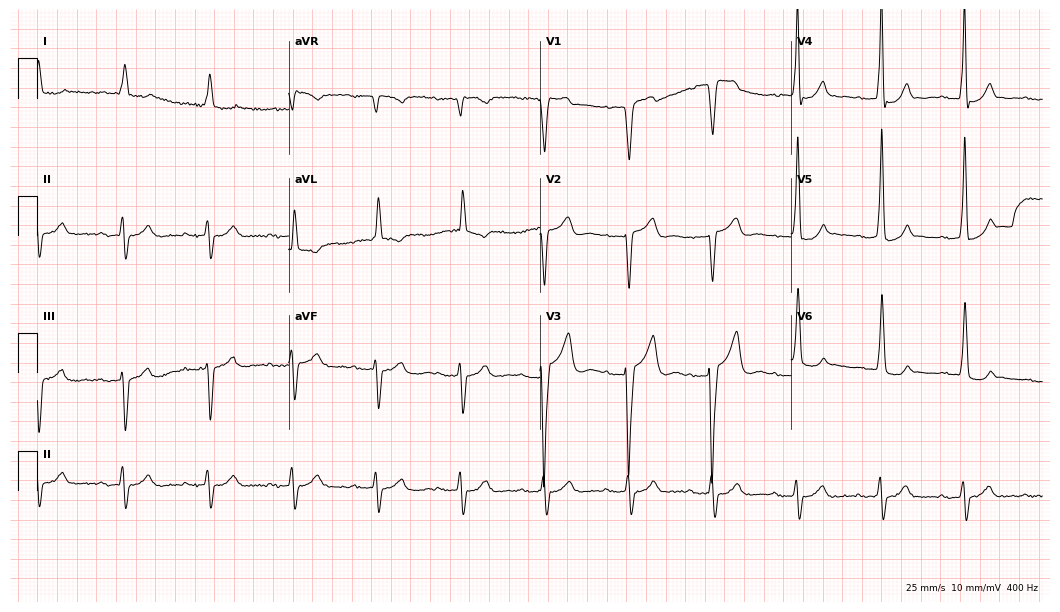
Resting 12-lead electrocardiogram (10.2-second recording at 400 Hz). Patient: an 81-year-old male. The tracing shows first-degree AV block.